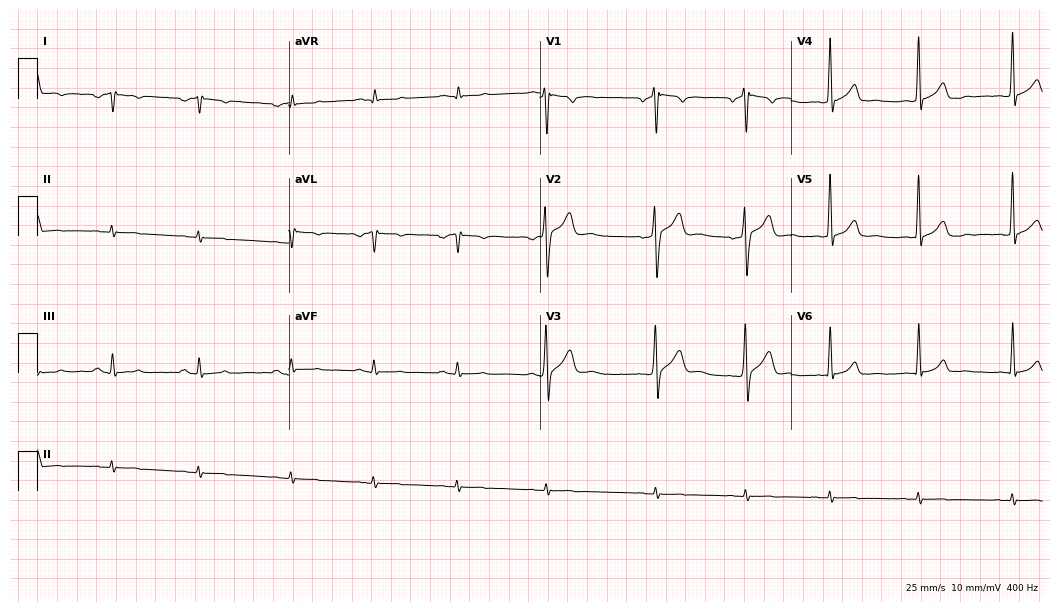
Electrocardiogram, a 29-year-old man. Of the six screened findings (first-degree AV block, right bundle branch block, left bundle branch block, sinus bradycardia, atrial fibrillation, sinus tachycardia), none is recorded.